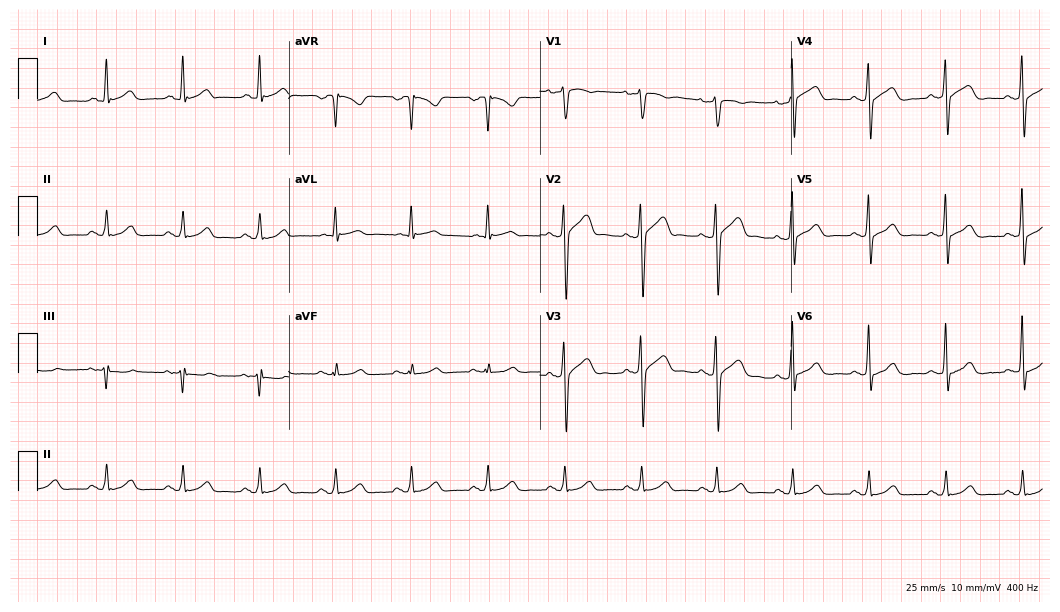
Standard 12-lead ECG recorded from a 52-year-old male (10.2-second recording at 400 Hz). Read as a normal ECG.